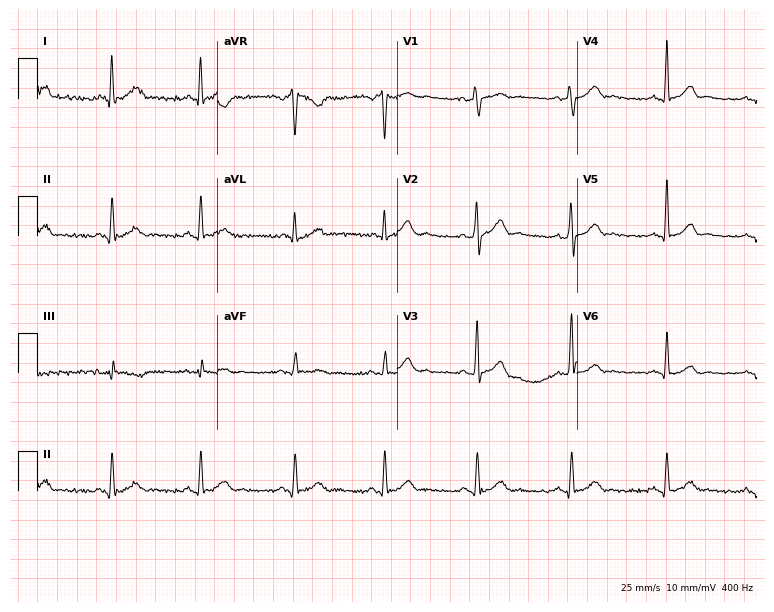
Resting 12-lead electrocardiogram (7.3-second recording at 400 Hz). Patient: a male, 37 years old. Read as a normal ECG.